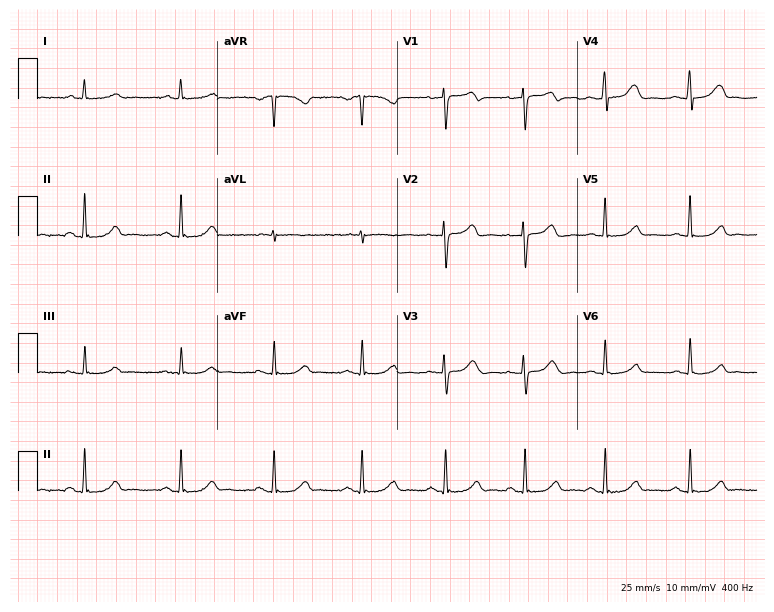
Standard 12-lead ECG recorded from a 55-year-old female patient. Read as a normal ECG.